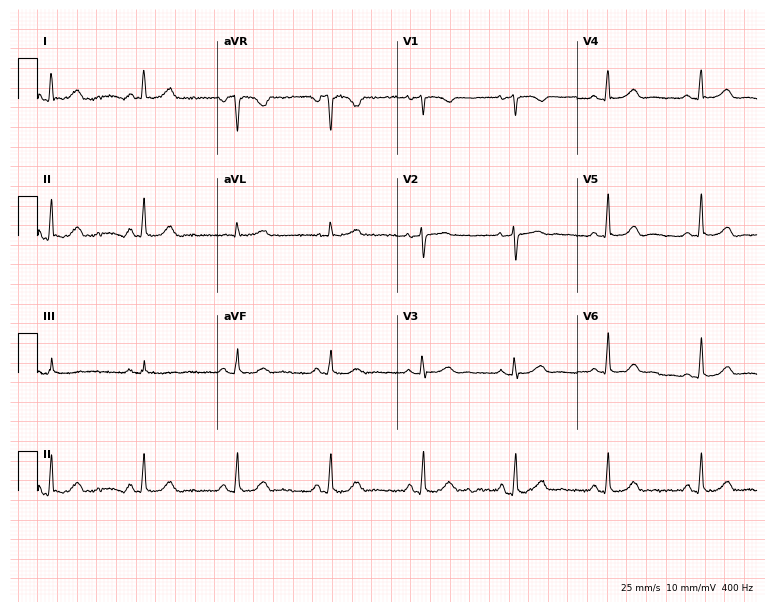
Resting 12-lead electrocardiogram. Patient: a female, 83 years old. Read as a normal ECG.